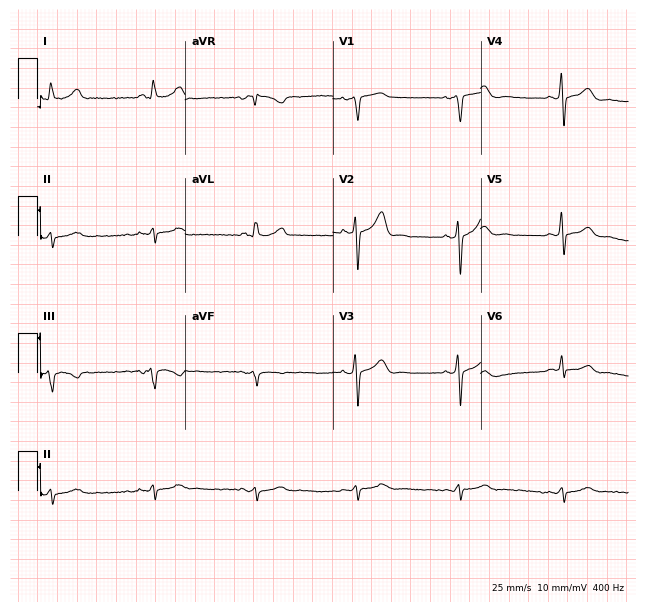
Resting 12-lead electrocardiogram (6-second recording at 400 Hz). Patient: a man, 75 years old. None of these six findings is recorded: first-degree AV block, right bundle branch block, left bundle branch block, sinus bradycardia, atrial fibrillation, sinus tachycardia. Findings outside these six are not listed.